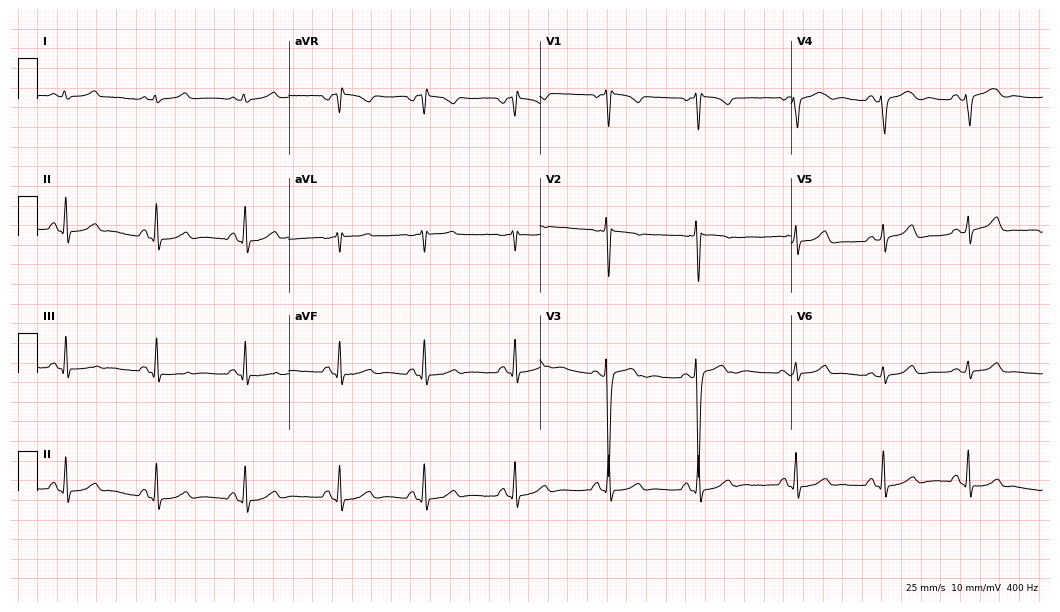
Resting 12-lead electrocardiogram (10.2-second recording at 400 Hz). Patient: a female, 25 years old. Read as a normal ECG.